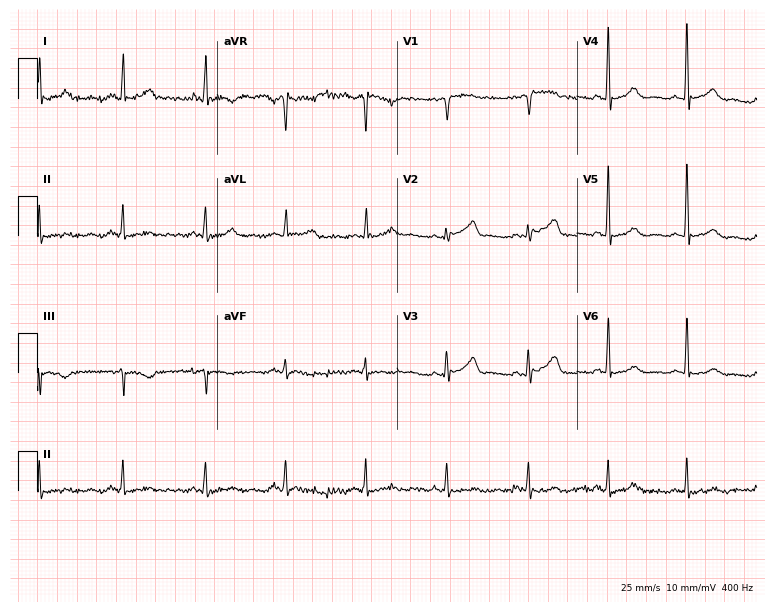
Electrocardiogram (7.3-second recording at 400 Hz), a woman, 62 years old. Of the six screened findings (first-degree AV block, right bundle branch block, left bundle branch block, sinus bradycardia, atrial fibrillation, sinus tachycardia), none is recorded.